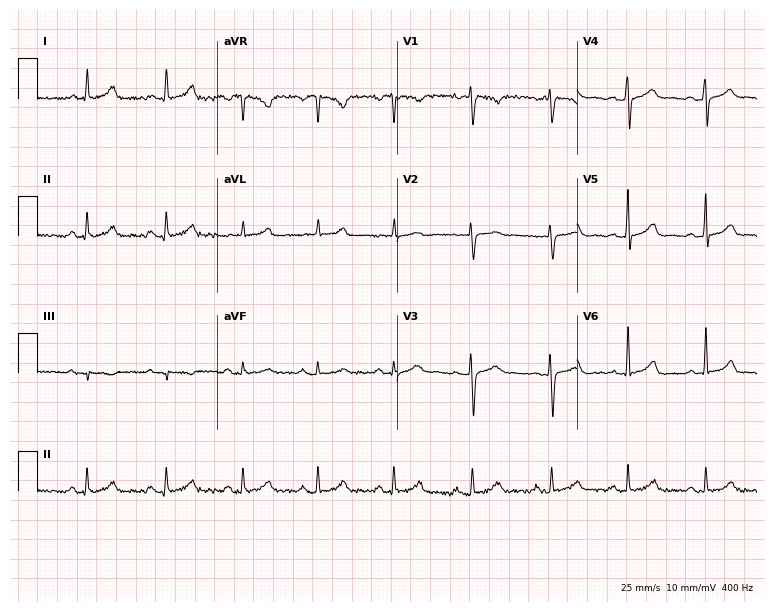
ECG — a 35-year-old female patient. Labelled as a normal ECG.